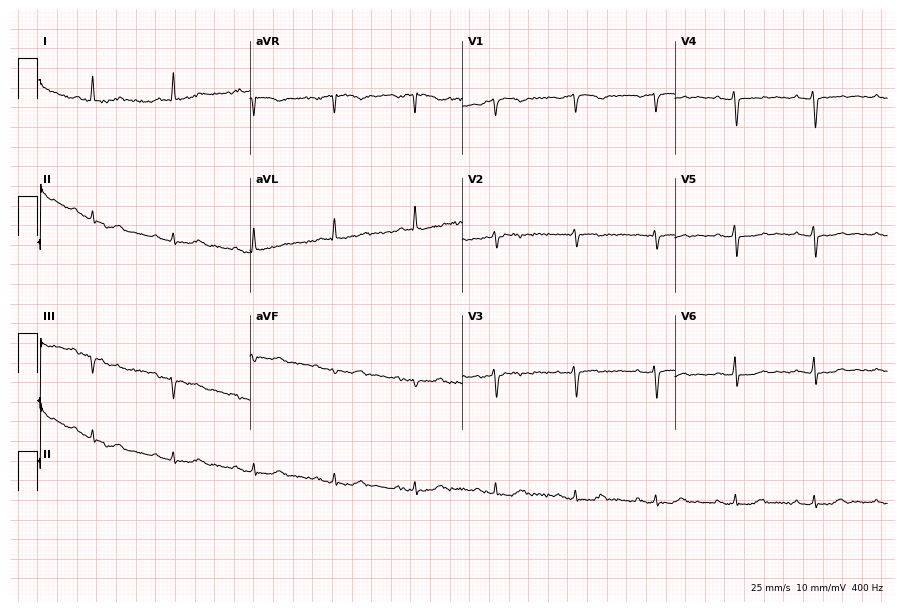
Electrocardiogram, a 73-year-old female patient. Of the six screened findings (first-degree AV block, right bundle branch block (RBBB), left bundle branch block (LBBB), sinus bradycardia, atrial fibrillation (AF), sinus tachycardia), none is recorded.